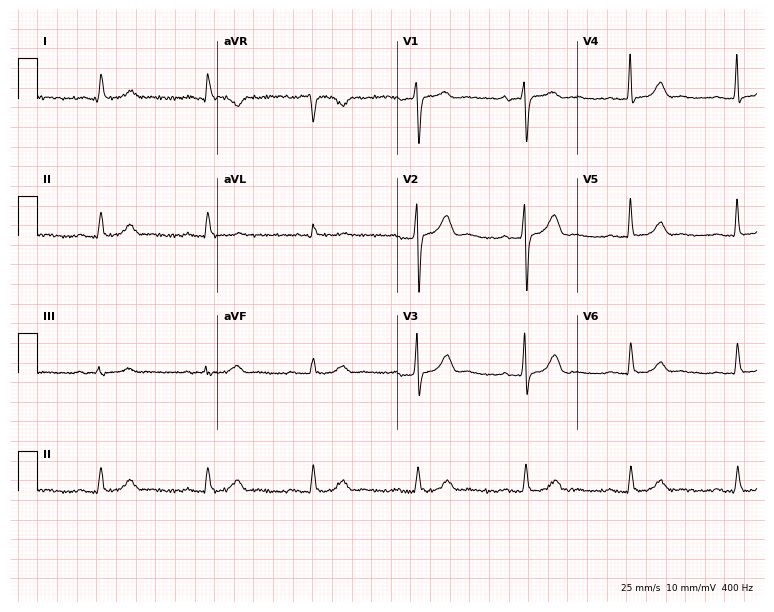
12-lead ECG from a man, 82 years old (7.3-second recording at 400 Hz). Recorded interpretation: within normal limits.